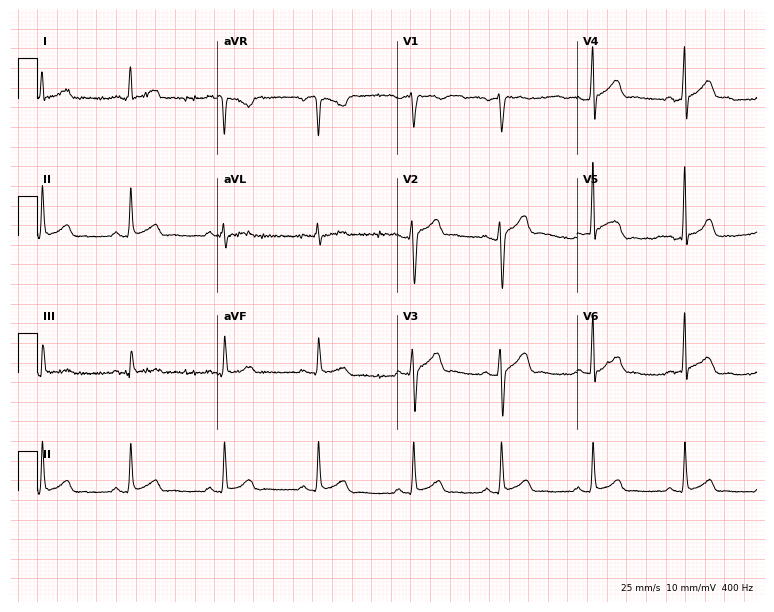
12-lead ECG from a 35-year-old male. Labelled as a normal ECG.